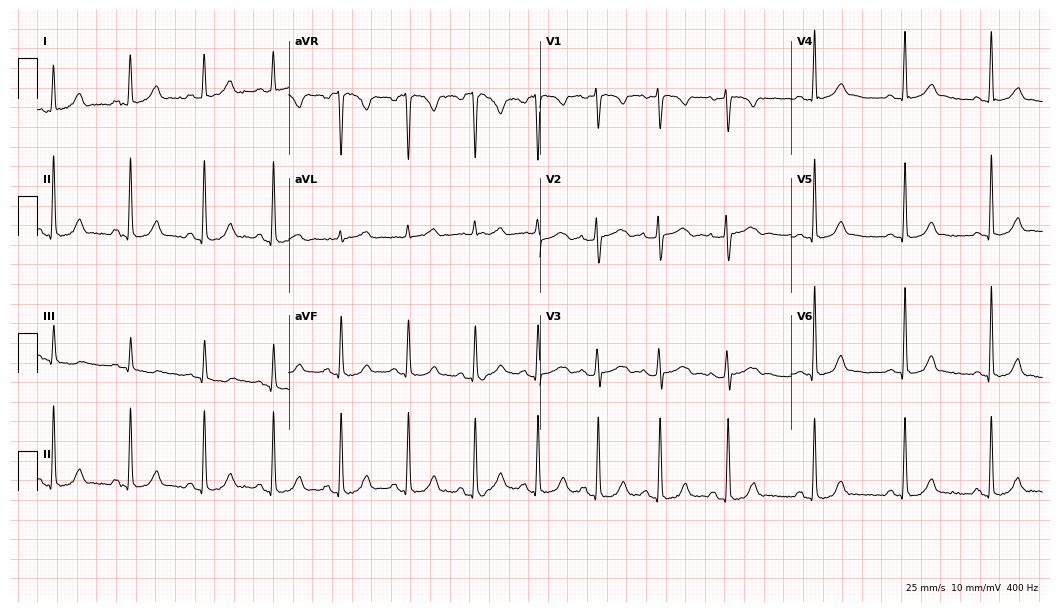
Electrocardiogram, a 32-year-old woman. Overall reading on record: normal ECG.